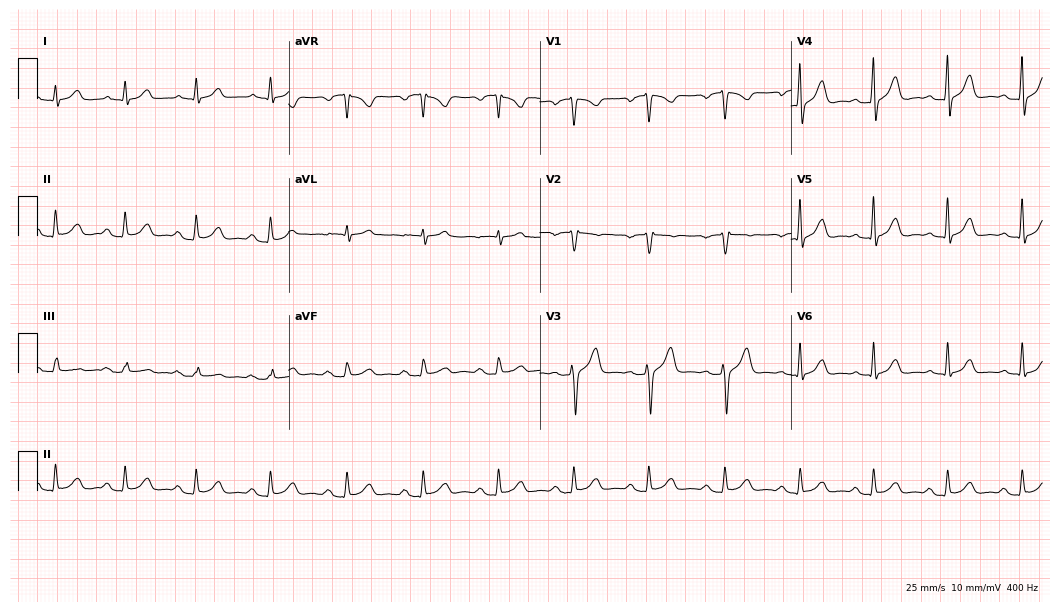
12-lead ECG from a male patient, 57 years old. Labelled as a normal ECG.